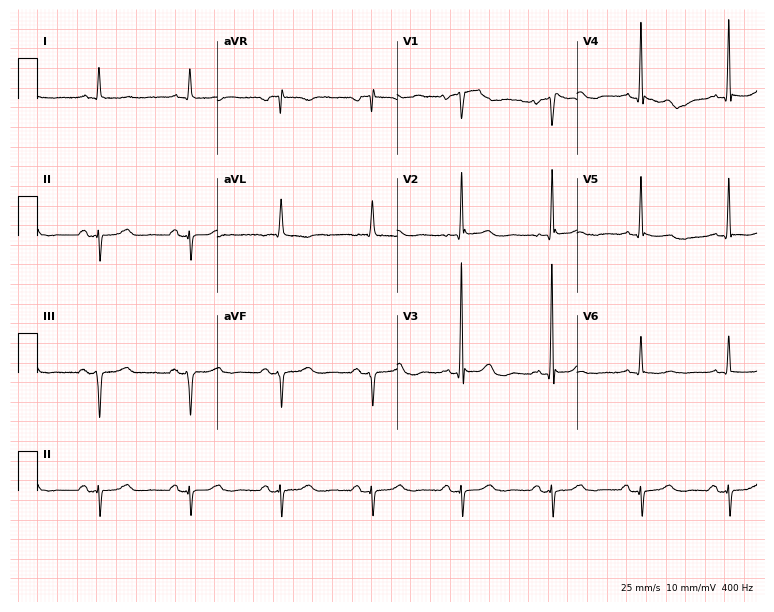
ECG (7.3-second recording at 400 Hz) — a man, 85 years old. Screened for six findings — first-degree AV block, right bundle branch block, left bundle branch block, sinus bradycardia, atrial fibrillation, sinus tachycardia — none is recorded.